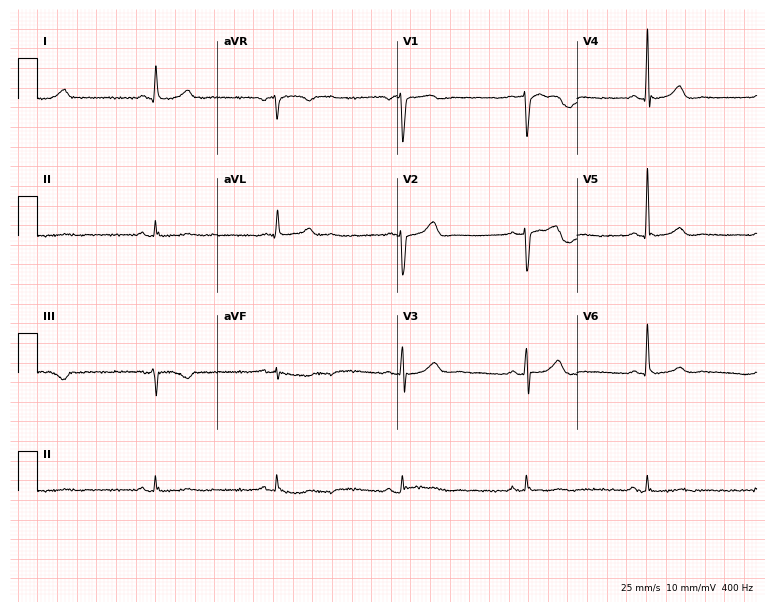
ECG (7.3-second recording at 400 Hz) — a male, 78 years old. Screened for six findings — first-degree AV block, right bundle branch block (RBBB), left bundle branch block (LBBB), sinus bradycardia, atrial fibrillation (AF), sinus tachycardia — none is recorded.